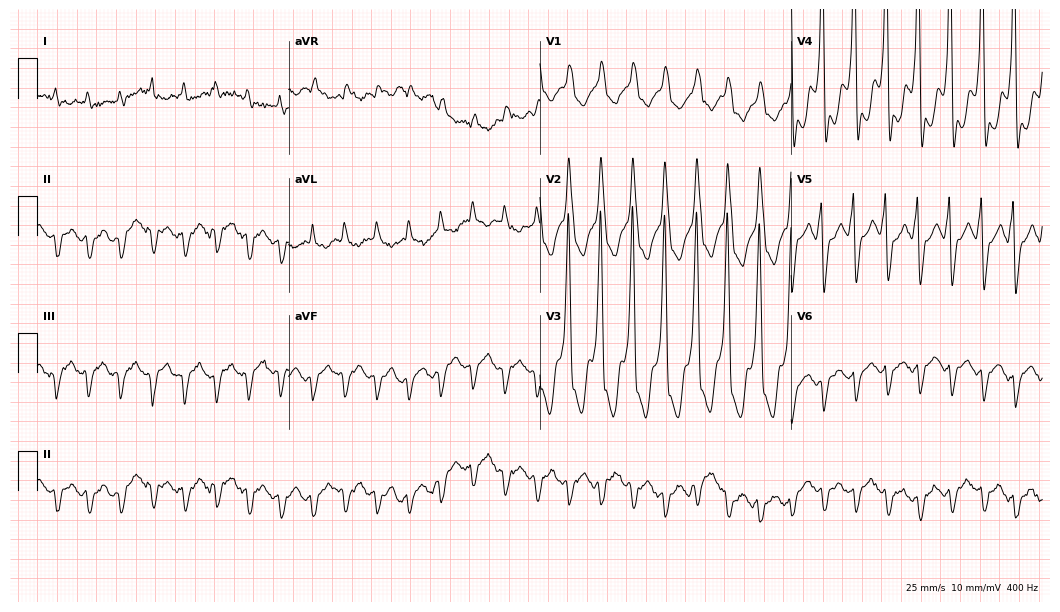
Resting 12-lead electrocardiogram. Patient: an 84-year-old male. The tracing shows right bundle branch block, sinus tachycardia (a sinus rate of 100 beats per minute or more).